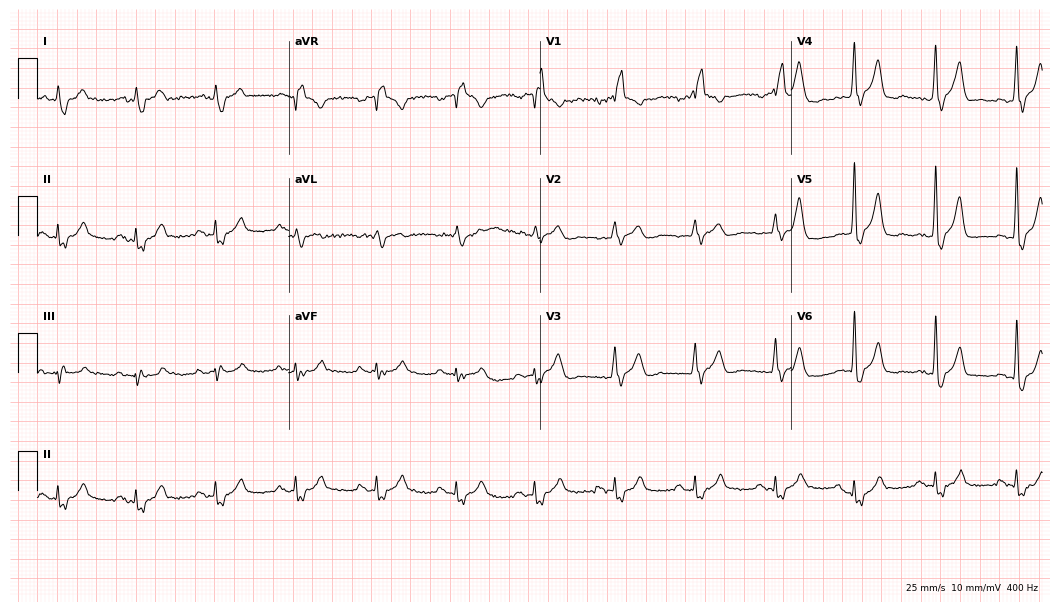
12-lead ECG from a 67-year-old man. No first-degree AV block, right bundle branch block, left bundle branch block, sinus bradycardia, atrial fibrillation or sinus tachycardia recorded for this tracing. Findings outside these six are not listed.